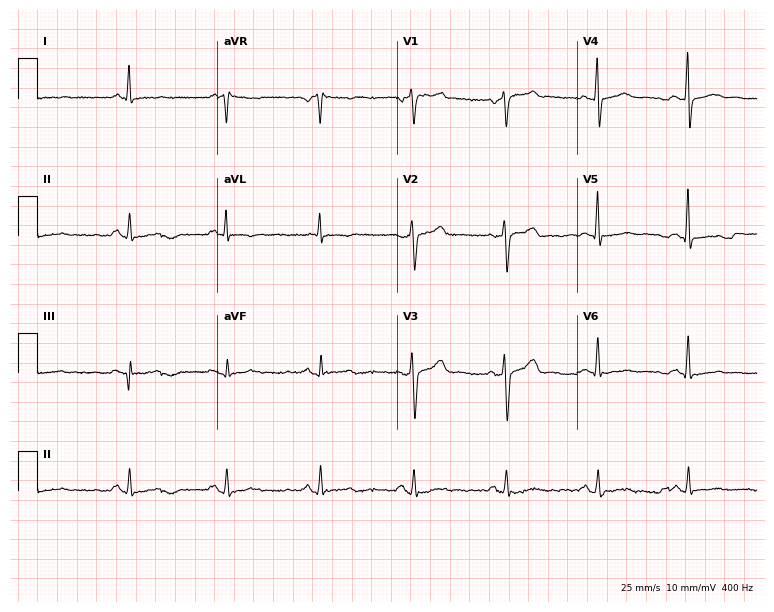
Resting 12-lead electrocardiogram. Patient: a male, 65 years old. None of these six findings is recorded: first-degree AV block, right bundle branch block, left bundle branch block, sinus bradycardia, atrial fibrillation, sinus tachycardia. Findings outside these six are not listed.